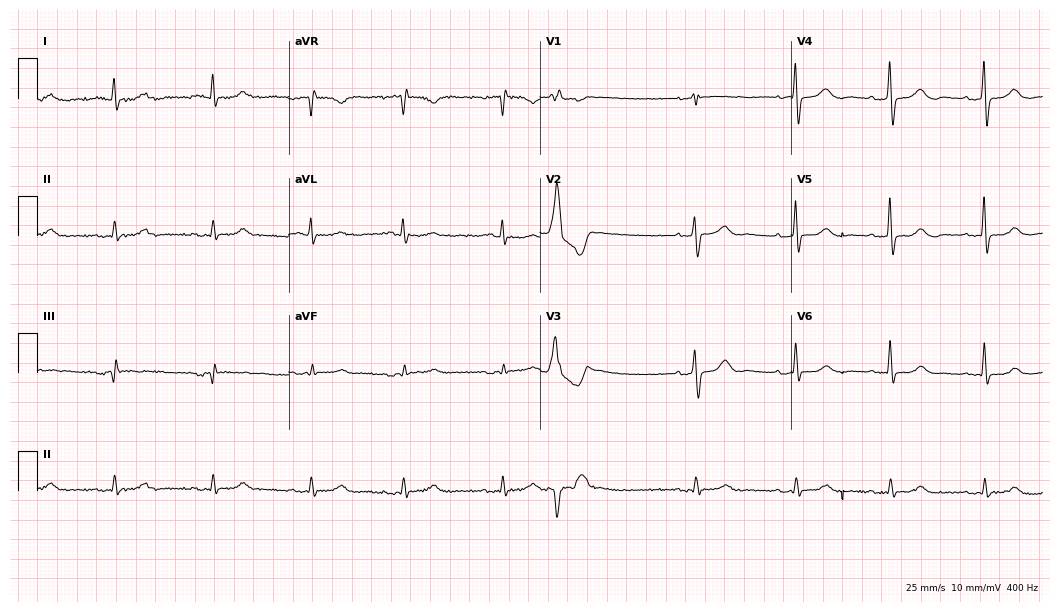
ECG — a woman, 85 years old. Screened for six findings — first-degree AV block, right bundle branch block, left bundle branch block, sinus bradycardia, atrial fibrillation, sinus tachycardia — none is recorded. Only these six findings were labelled.